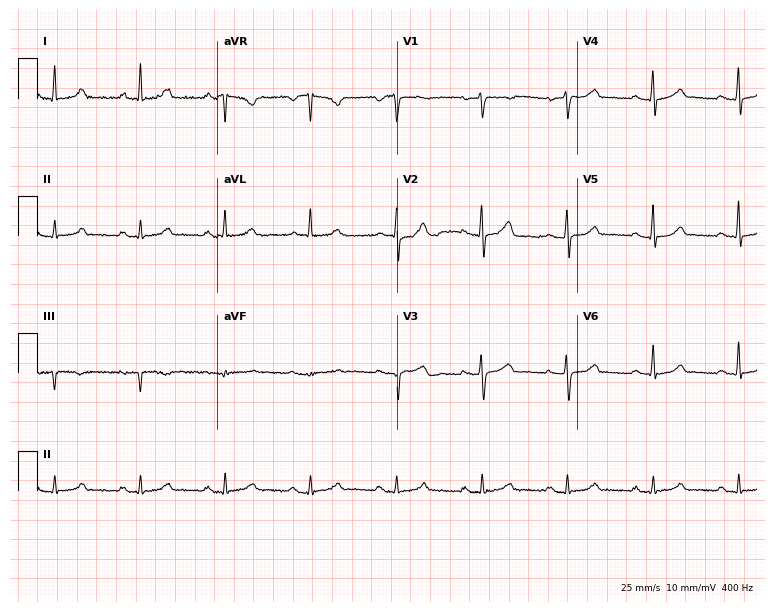
ECG — a woman, 53 years old. Labelled as a normal ECG.